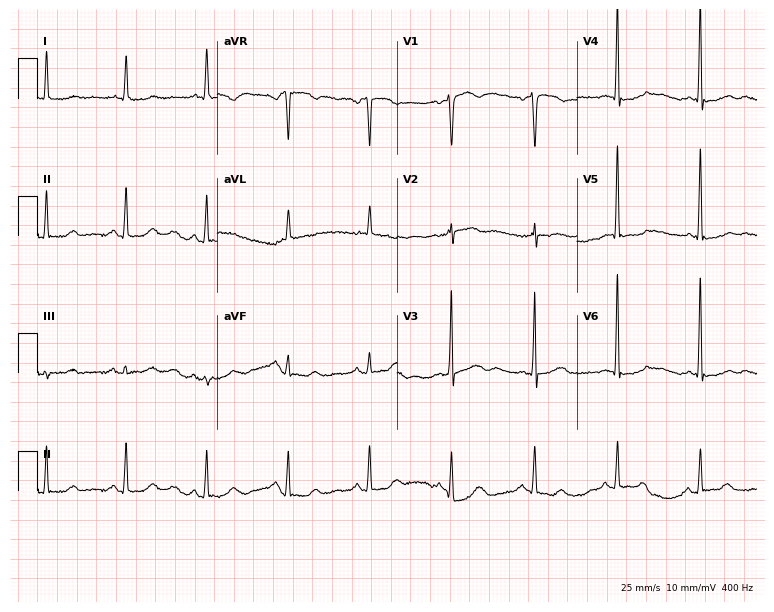
12-lead ECG from a 67-year-old woman. No first-degree AV block, right bundle branch block, left bundle branch block, sinus bradycardia, atrial fibrillation or sinus tachycardia recorded for this tracing. Other findings, if any, are not listed.